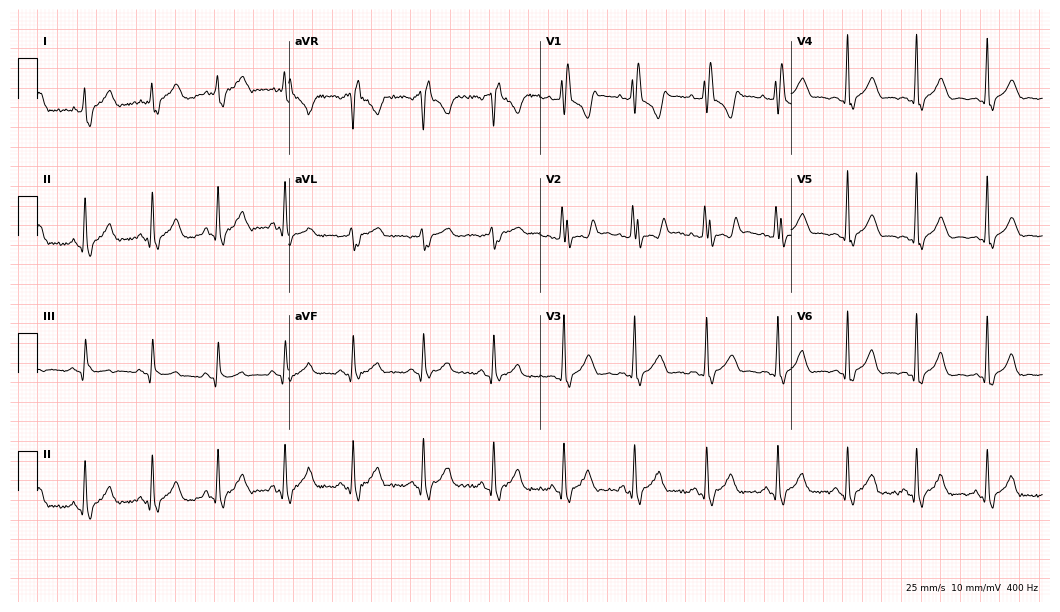
12-lead ECG from a 29-year-old woman. Findings include right bundle branch block.